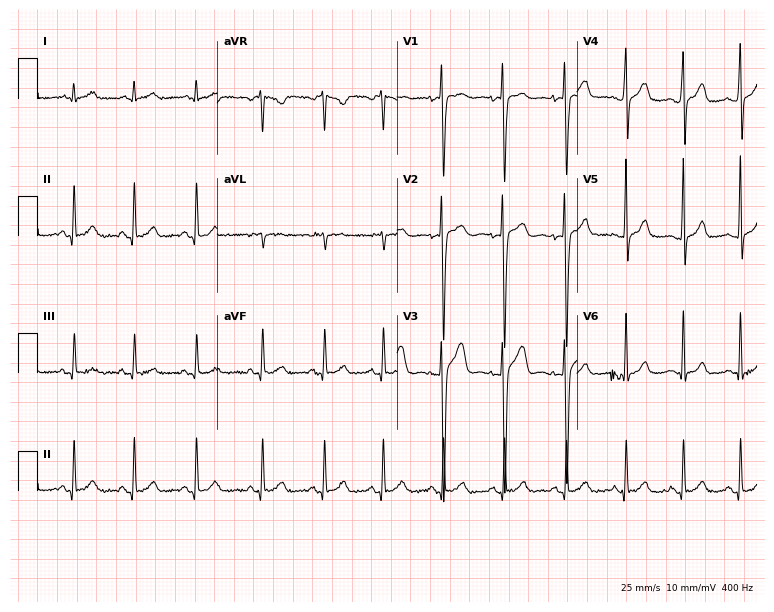
12-lead ECG from a male patient, 21 years old (7.3-second recording at 400 Hz). No first-degree AV block, right bundle branch block, left bundle branch block, sinus bradycardia, atrial fibrillation or sinus tachycardia recorded for this tracing. Findings outside these six are not listed.